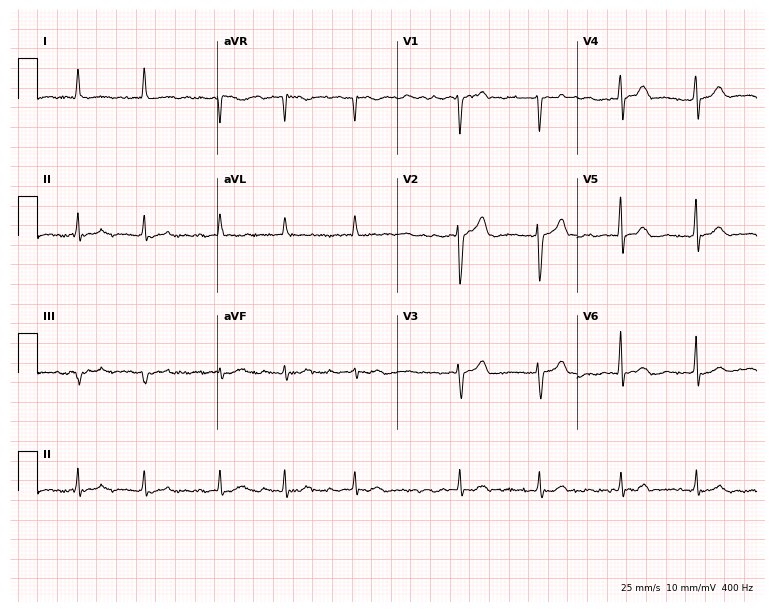
Electrocardiogram, a female patient, 72 years old. Interpretation includes atrial fibrillation (AF).